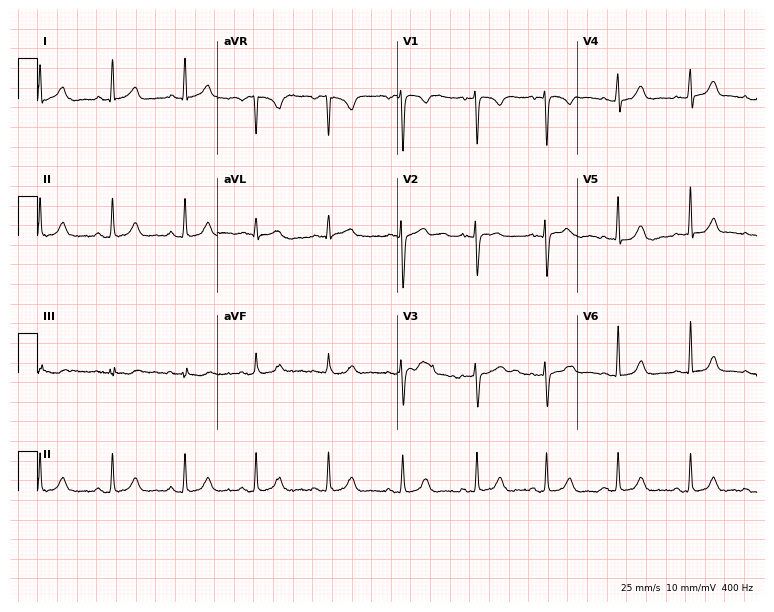
Resting 12-lead electrocardiogram. Patient: a 21-year-old woman. Read as a normal ECG.